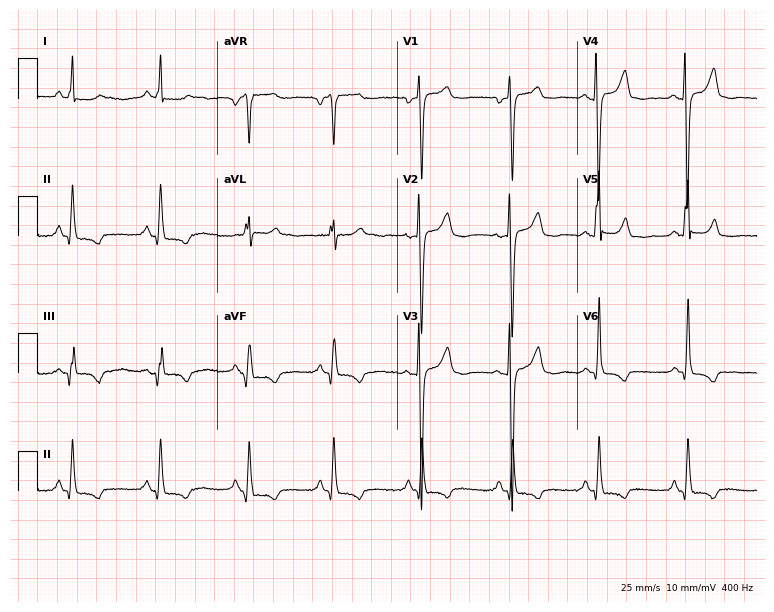
12-lead ECG from a 51-year-old female. No first-degree AV block, right bundle branch block, left bundle branch block, sinus bradycardia, atrial fibrillation or sinus tachycardia recorded for this tracing.